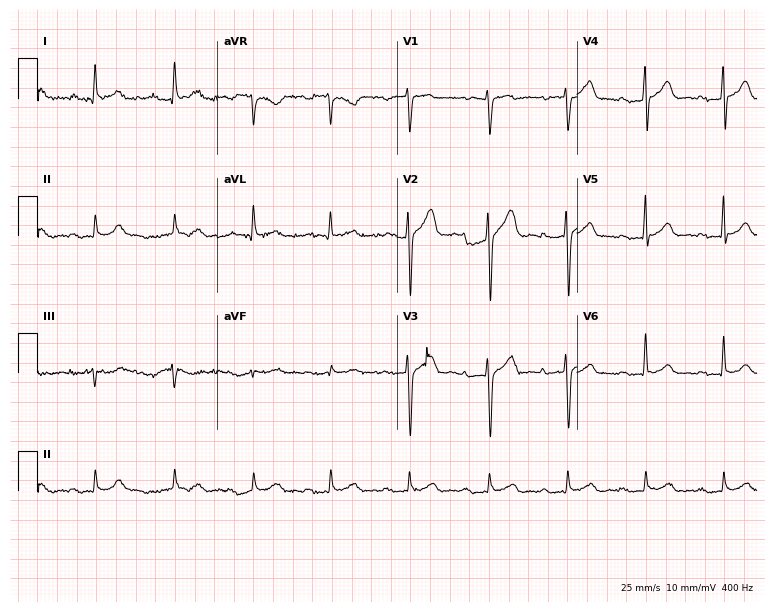
12-lead ECG from a man, 53 years old (7.3-second recording at 400 Hz). No first-degree AV block, right bundle branch block, left bundle branch block, sinus bradycardia, atrial fibrillation or sinus tachycardia recorded for this tracing.